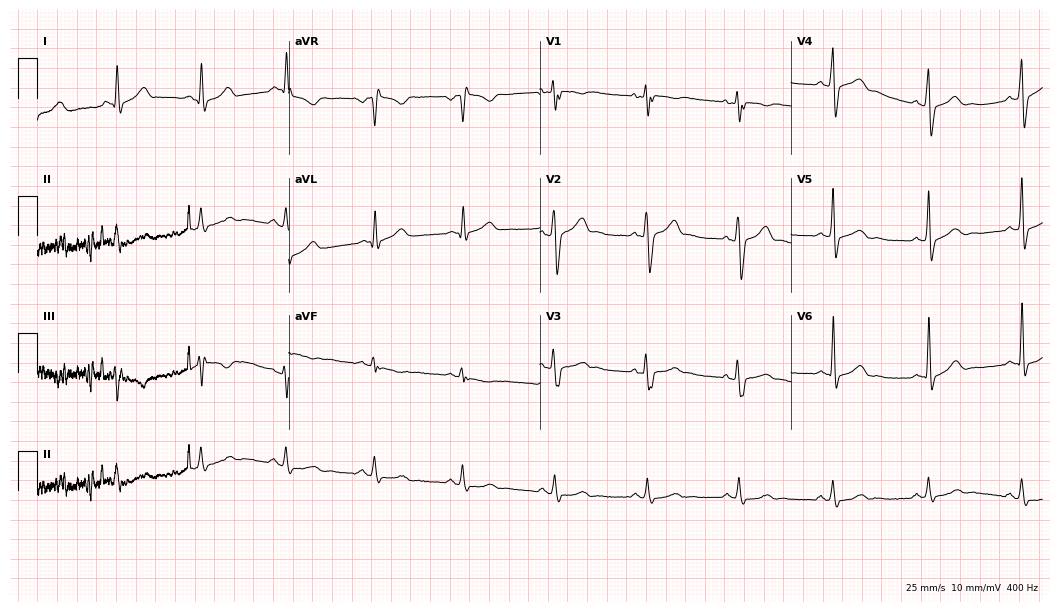
12-lead ECG from a man, 45 years old. No first-degree AV block, right bundle branch block (RBBB), left bundle branch block (LBBB), sinus bradycardia, atrial fibrillation (AF) or sinus tachycardia recorded for this tracing.